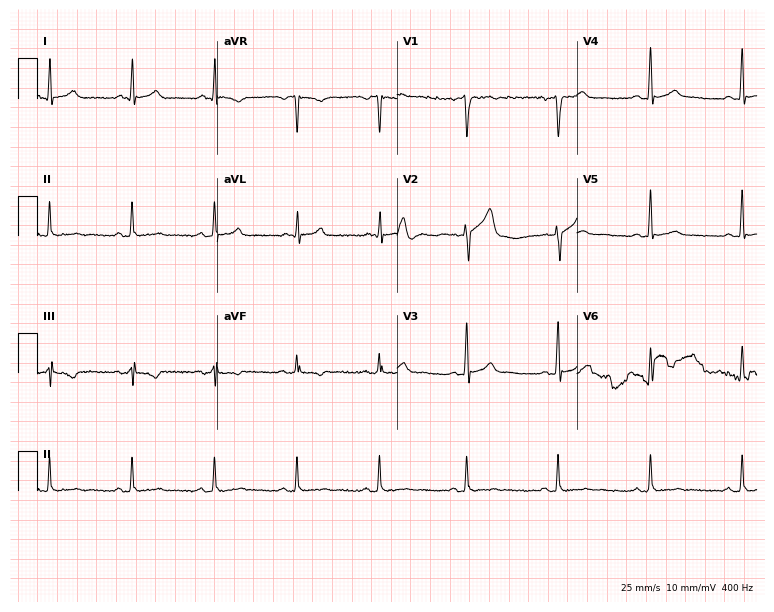
ECG (7.3-second recording at 400 Hz) — a man, 41 years old. Screened for six findings — first-degree AV block, right bundle branch block (RBBB), left bundle branch block (LBBB), sinus bradycardia, atrial fibrillation (AF), sinus tachycardia — none is recorded. Only these six findings were labelled.